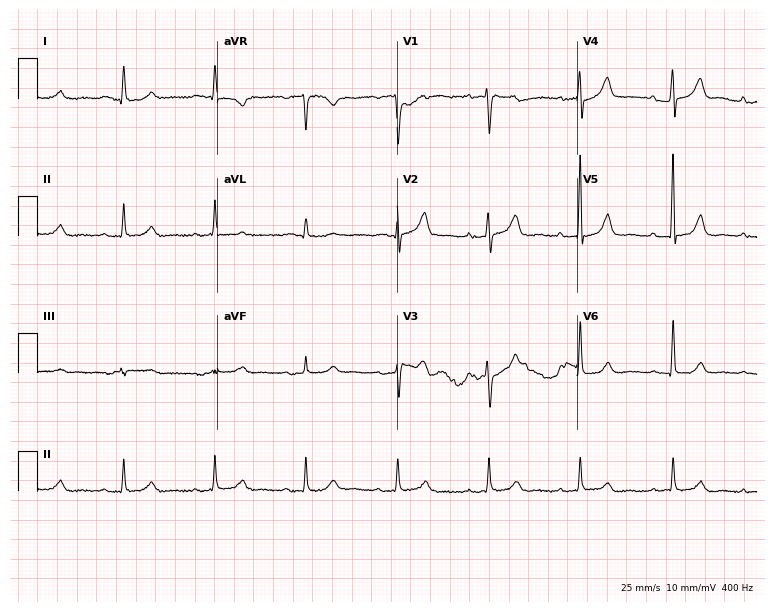
Electrocardiogram (7.3-second recording at 400 Hz), a male, 83 years old. Overall reading on record: normal ECG.